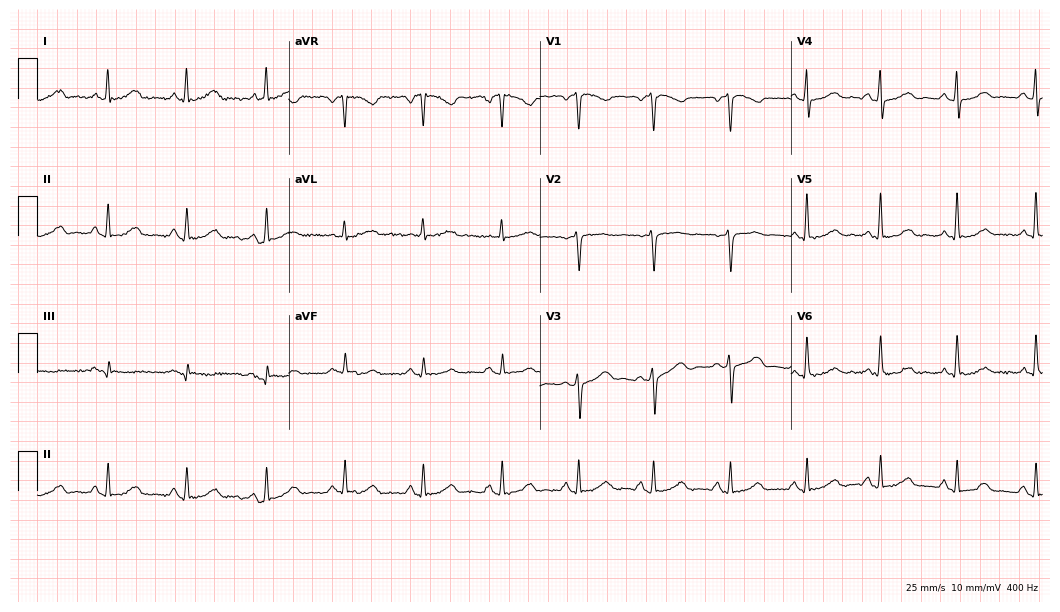
Resting 12-lead electrocardiogram (10.2-second recording at 400 Hz). Patient: a female, 49 years old. None of these six findings is recorded: first-degree AV block, right bundle branch block, left bundle branch block, sinus bradycardia, atrial fibrillation, sinus tachycardia. Other findings, if any, are not listed.